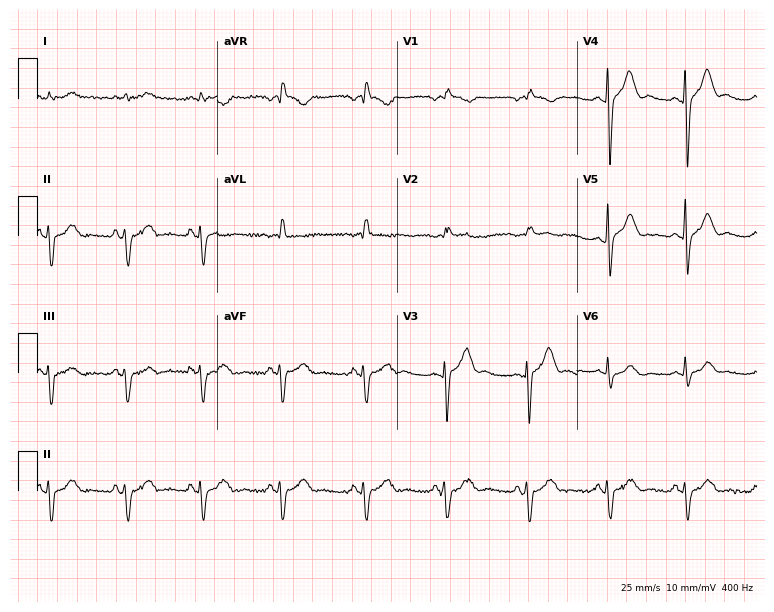
Electrocardiogram (7.3-second recording at 400 Hz), a 70-year-old male patient. Of the six screened findings (first-degree AV block, right bundle branch block, left bundle branch block, sinus bradycardia, atrial fibrillation, sinus tachycardia), none is recorded.